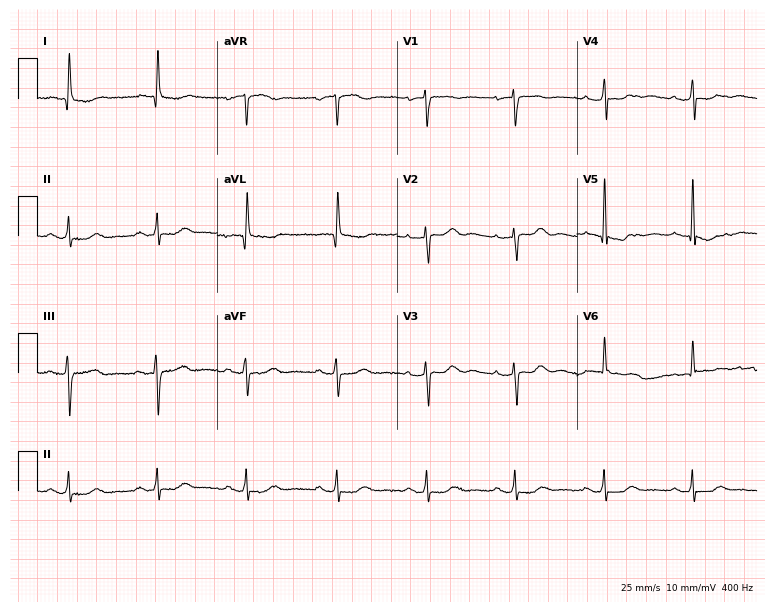
ECG (7.3-second recording at 400 Hz) — a female, 81 years old. Screened for six findings — first-degree AV block, right bundle branch block (RBBB), left bundle branch block (LBBB), sinus bradycardia, atrial fibrillation (AF), sinus tachycardia — none is recorded. Findings outside these six are not listed.